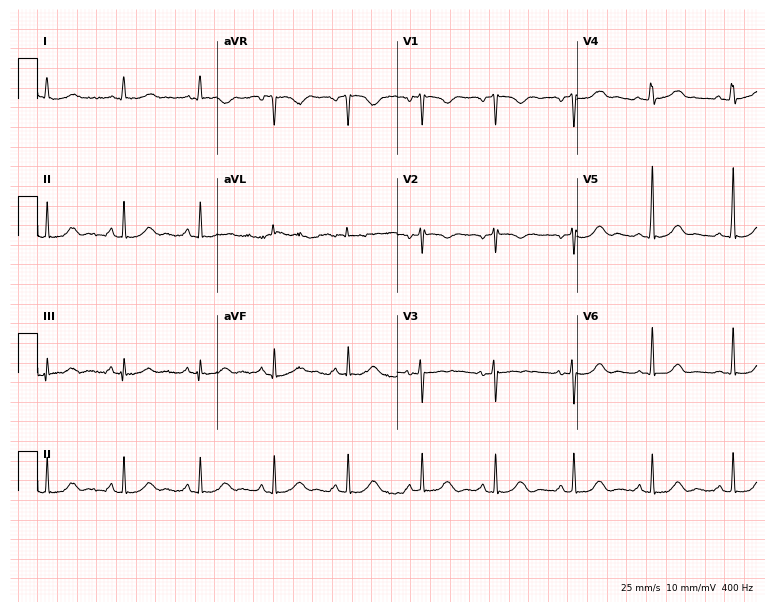
12-lead ECG from a 32-year-old female patient. Labelled as a normal ECG.